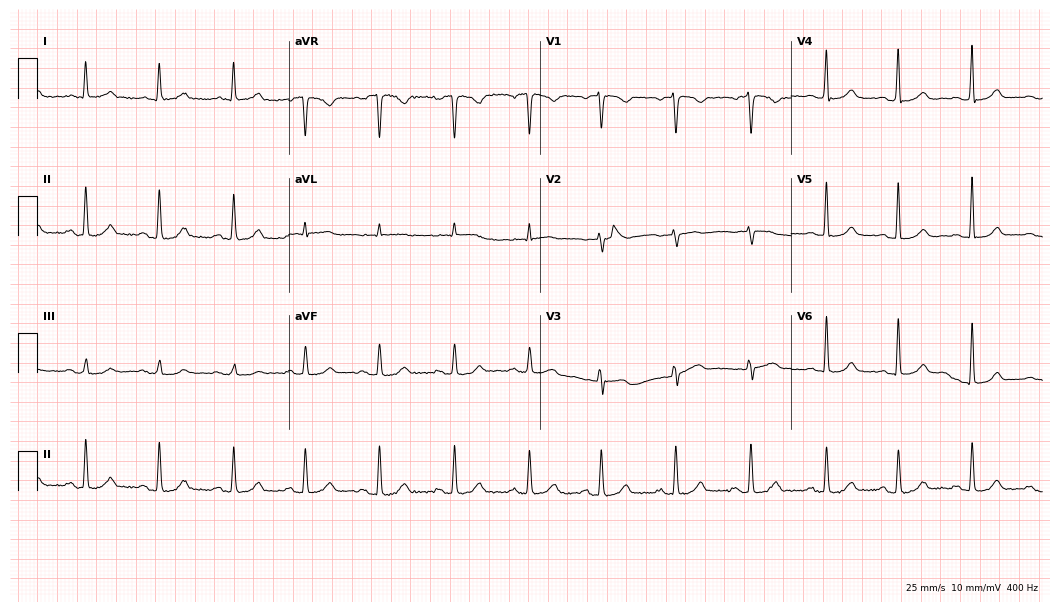
12-lead ECG from a female patient, 61 years old (10.2-second recording at 400 Hz). No first-degree AV block, right bundle branch block, left bundle branch block, sinus bradycardia, atrial fibrillation or sinus tachycardia recorded for this tracing. Other findings, if any, are not listed.